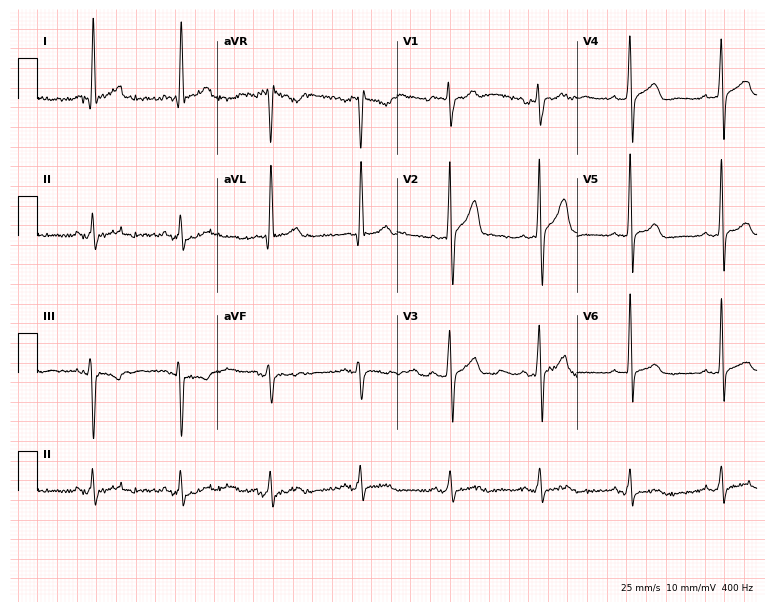
Electrocardiogram (7.3-second recording at 400 Hz), a man, 51 years old. Of the six screened findings (first-degree AV block, right bundle branch block (RBBB), left bundle branch block (LBBB), sinus bradycardia, atrial fibrillation (AF), sinus tachycardia), none is recorded.